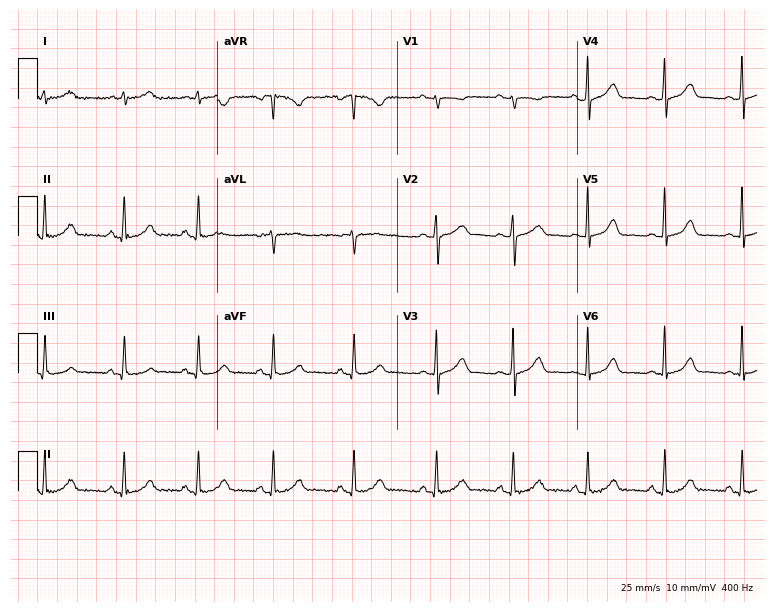
12-lead ECG from a female, 39 years old. Recorded interpretation: within normal limits.